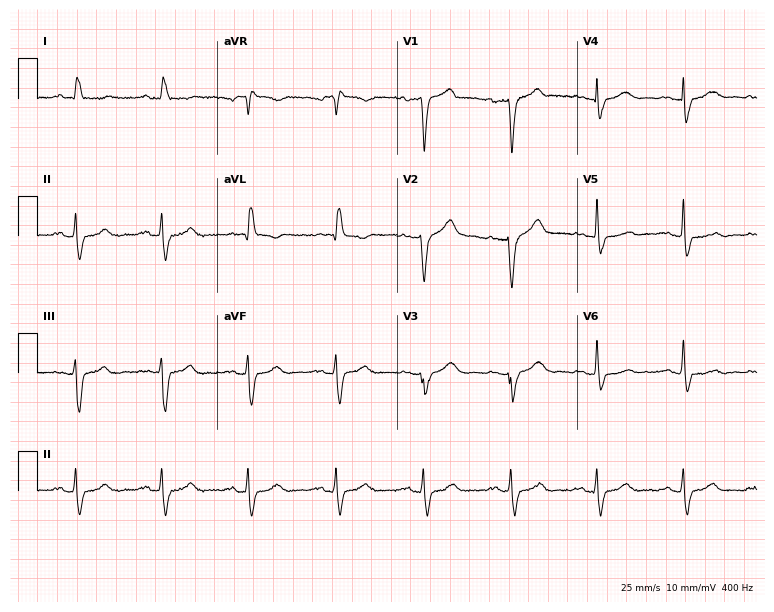
Standard 12-lead ECG recorded from an 83-year-old male (7.3-second recording at 400 Hz). The tracing shows left bundle branch block.